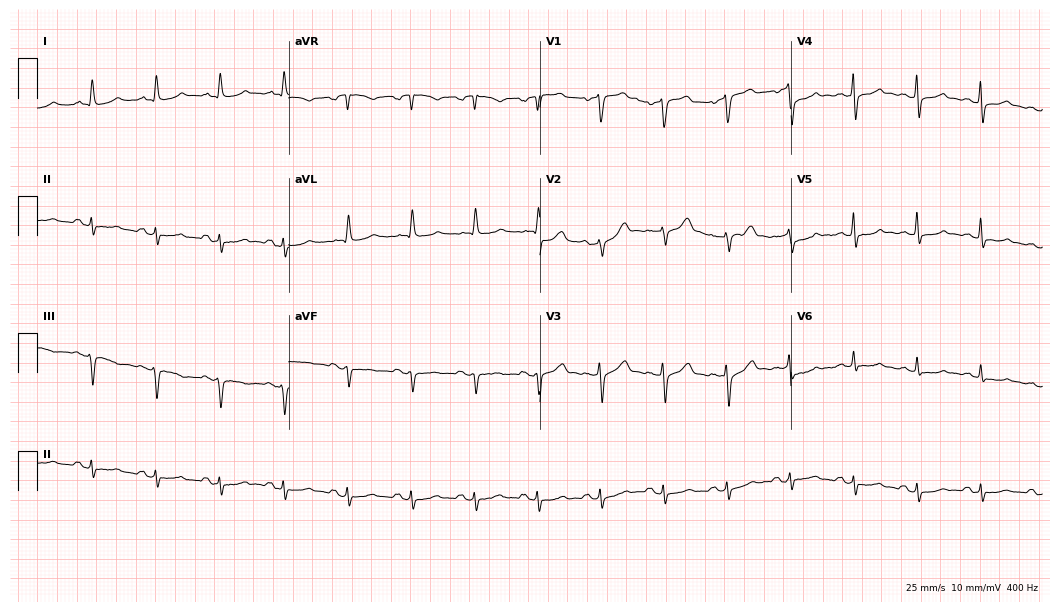
12-lead ECG from a 55-year-old man. Screened for six findings — first-degree AV block, right bundle branch block, left bundle branch block, sinus bradycardia, atrial fibrillation, sinus tachycardia — none is recorded. Only these six findings were labelled.